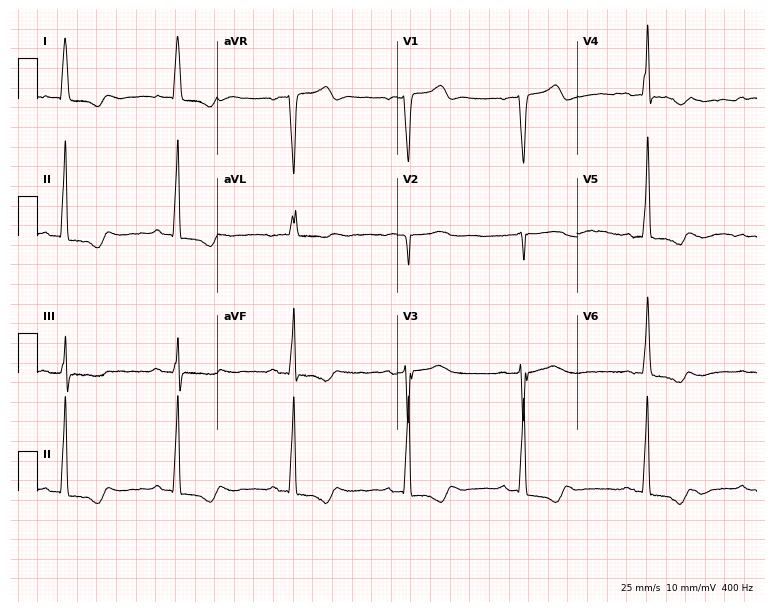
Standard 12-lead ECG recorded from an 81-year-old male patient (7.3-second recording at 400 Hz). None of these six findings is recorded: first-degree AV block, right bundle branch block, left bundle branch block, sinus bradycardia, atrial fibrillation, sinus tachycardia.